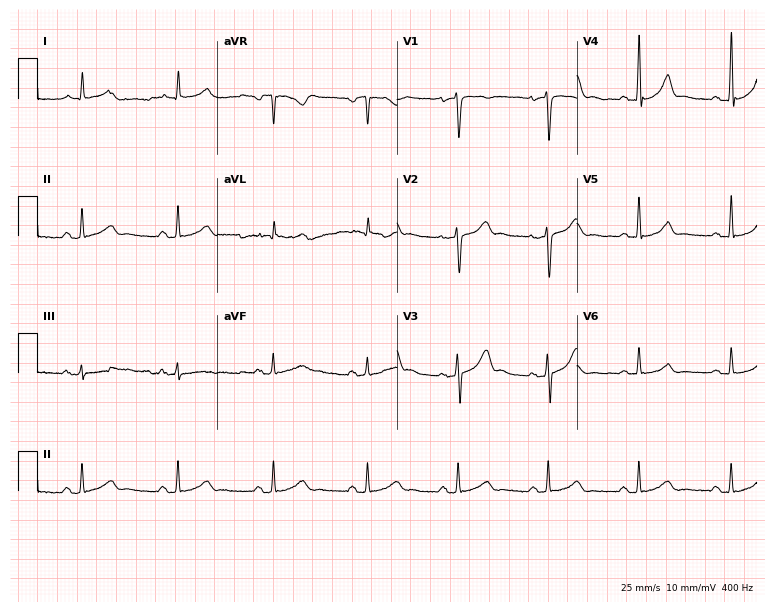
ECG (7.3-second recording at 400 Hz) — a male patient, 43 years old. Labelled as a normal ECG.